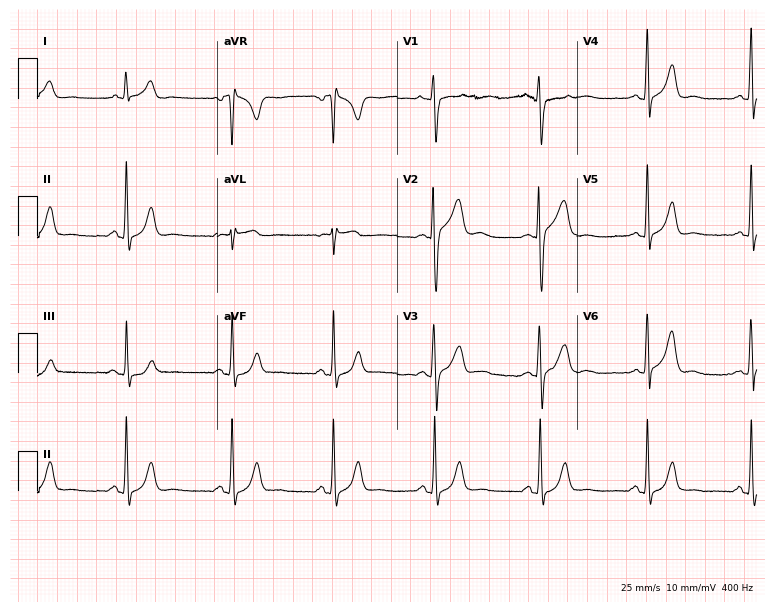
Resting 12-lead electrocardiogram. Patient: a female, 39 years old. Read as a normal ECG.